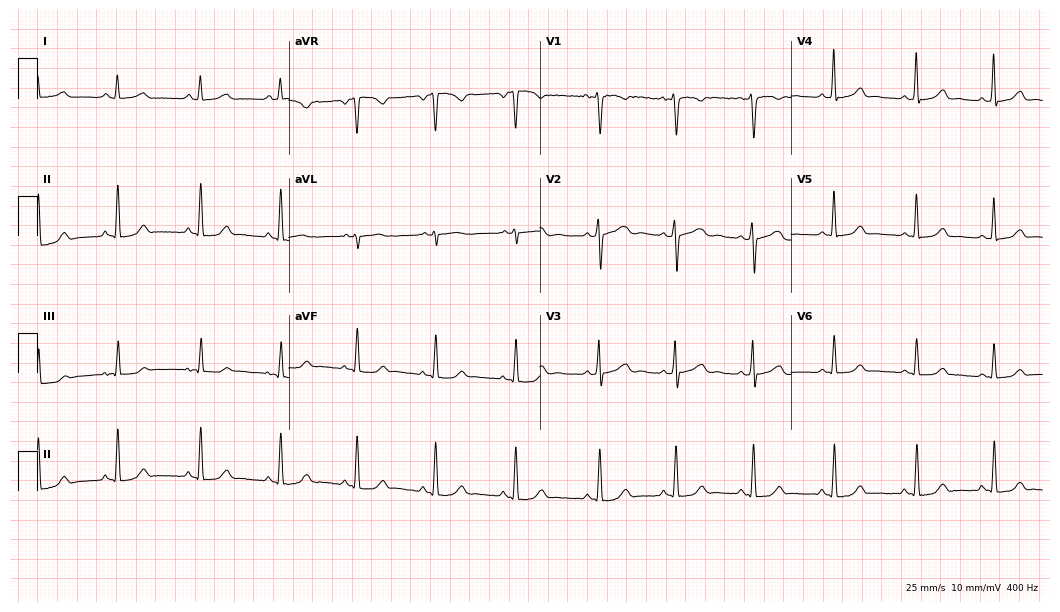
Resting 12-lead electrocardiogram (10.2-second recording at 400 Hz). Patient: a 27-year-old woman. Read as a normal ECG.